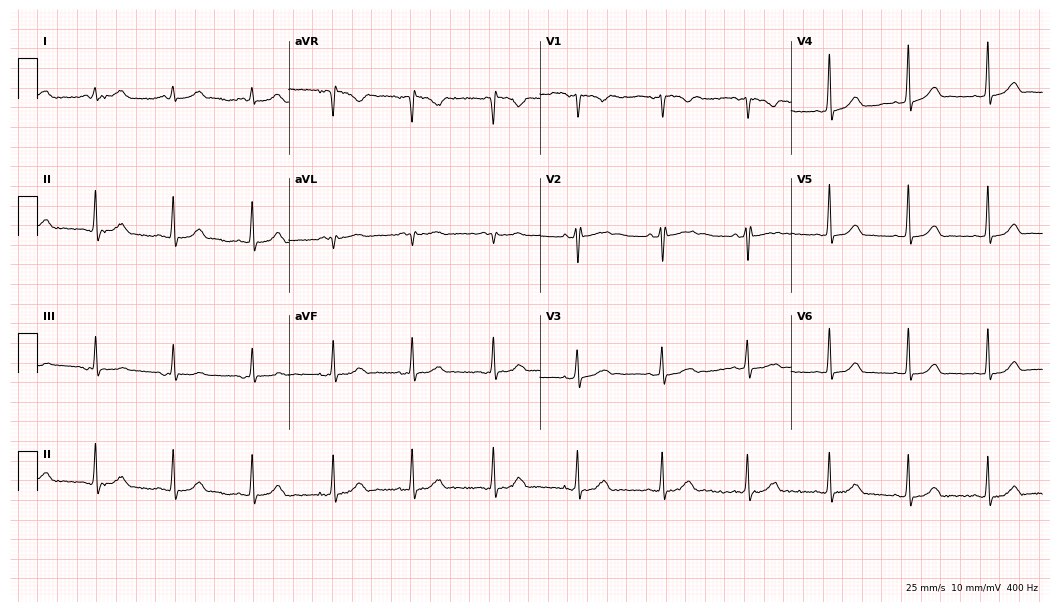
Resting 12-lead electrocardiogram (10.2-second recording at 400 Hz). Patient: a woman, 35 years old. None of these six findings is recorded: first-degree AV block, right bundle branch block, left bundle branch block, sinus bradycardia, atrial fibrillation, sinus tachycardia. Only these six findings were labelled.